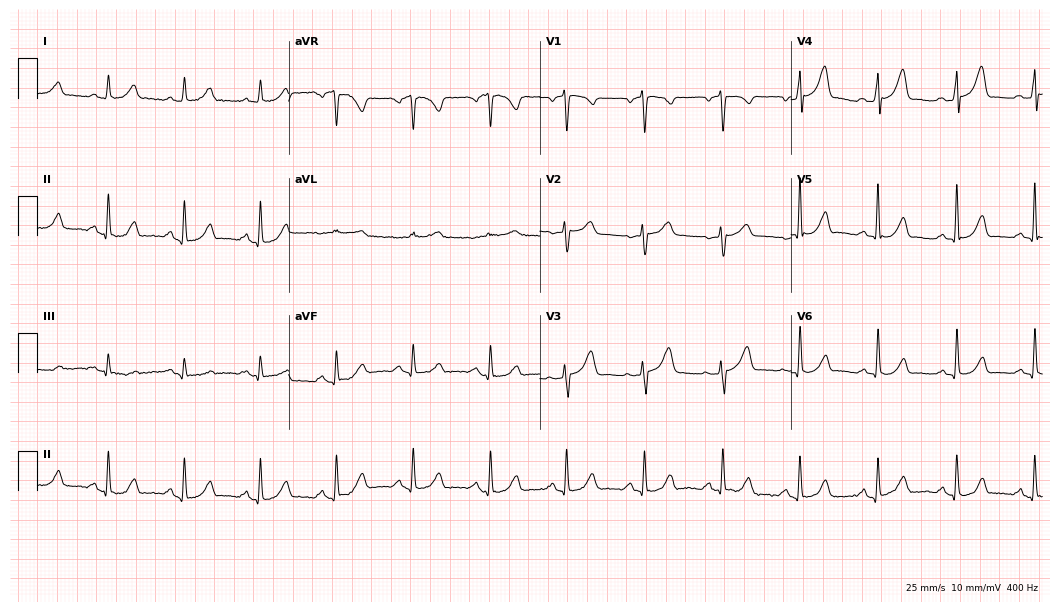
ECG (10.2-second recording at 400 Hz) — a 63-year-old female. Labelled as a normal ECG.